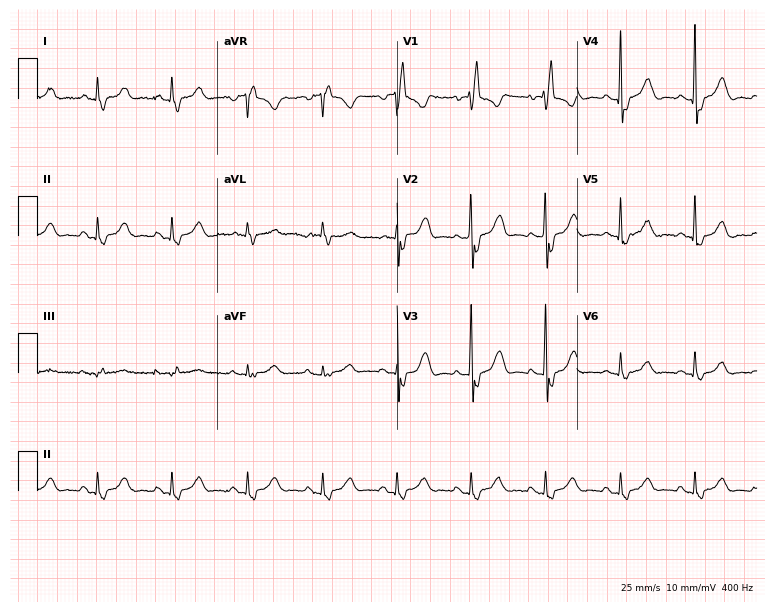
ECG (7.3-second recording at 400 Hz) — a 68-year-old female patient. Findings include right bundle branch block (RBBB).